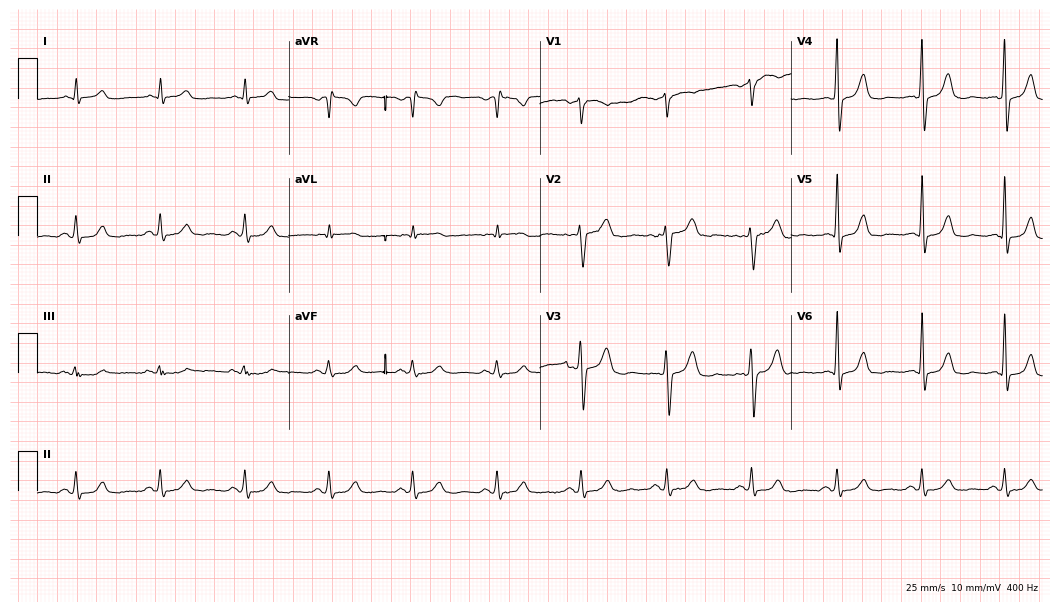
Standard 12-lead ECG recorded from a man, 56 years old. Read as a normal ECG.